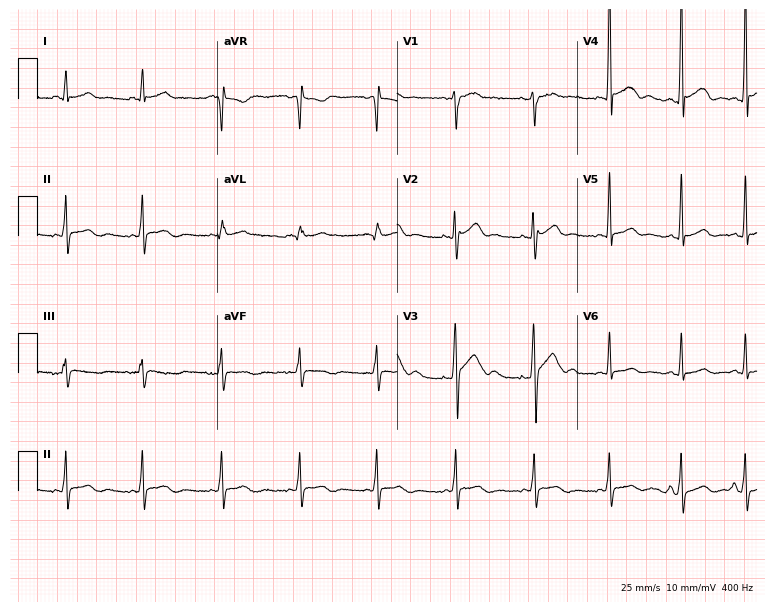
12-lead ECG from a 33-year-old man (7.3-second recording at 400 Hz). No first-degree AV block, right bundle branch block (RBBB), left bundle branch block (LBBB), sinus bradycardia, atrial fibrillation (AF) or sinus tachycardia recorded for this tracing.